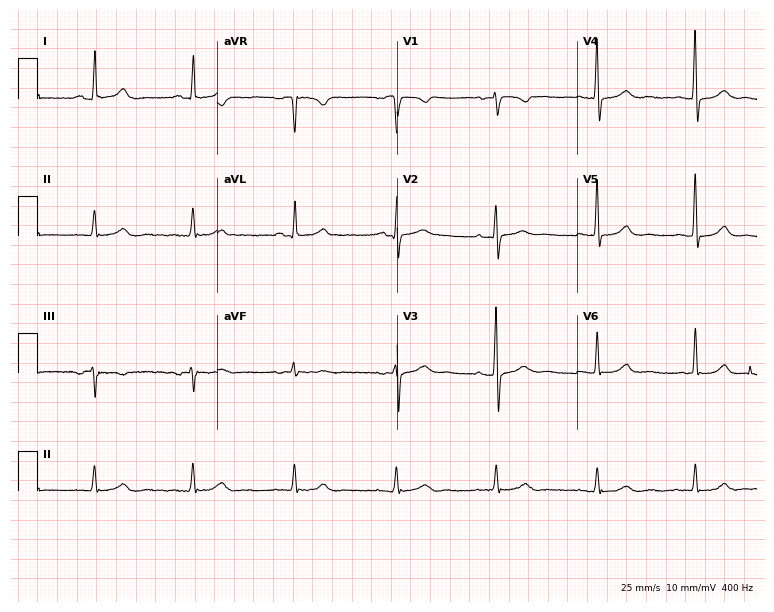
12-lead ECG from a 66-year-old female (7.3-second recording at 400 Hz). Recorded interpretation: within normal limits.